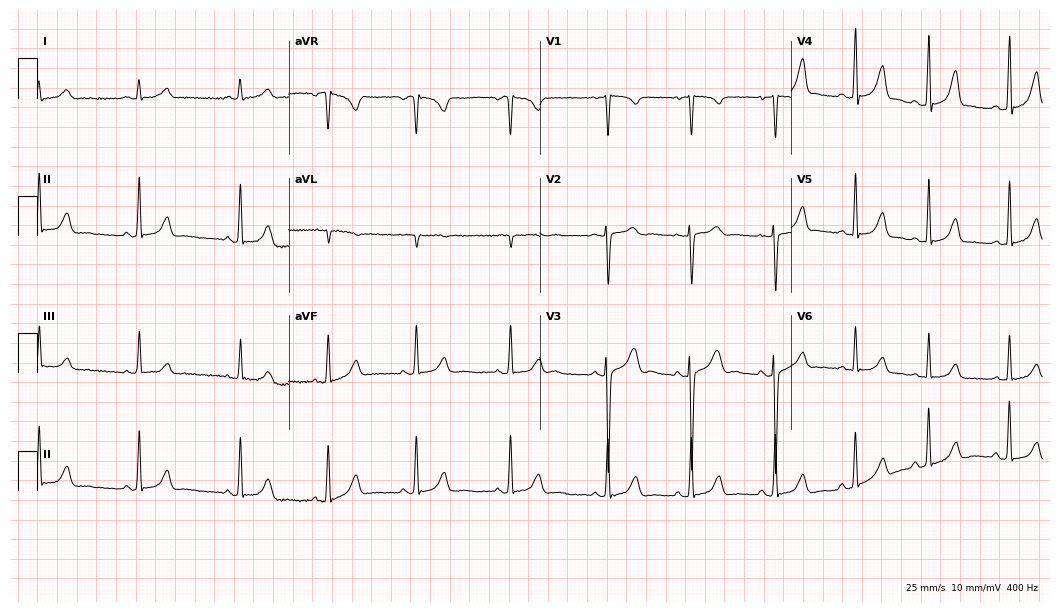
Electrocardiogram (10.2-second recording at 400 Hz), a woman, 17 years old. Overall reading on record: normal ECG.